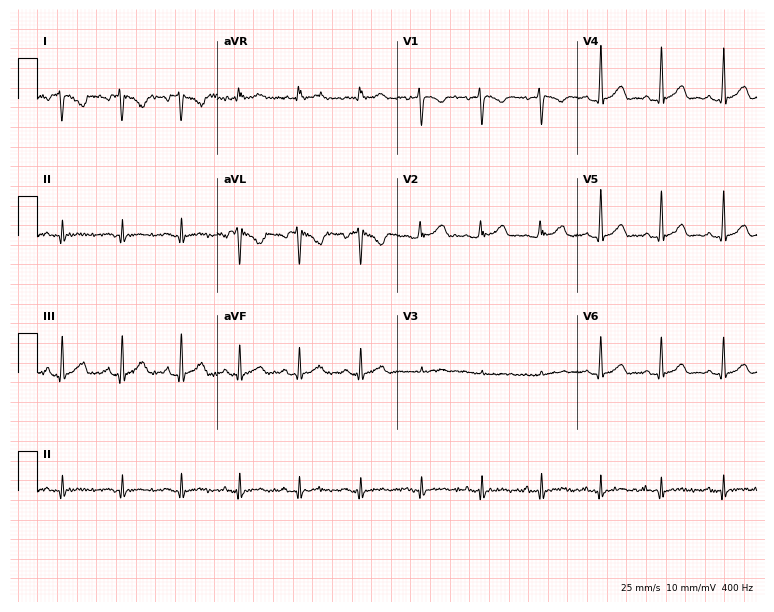
Standard 12-lead ECG recorded from a 19-year-old female (7.3-second recording at 400 Hz). None of these six findings is recorded: first-degree AV block, right bundle branch block, left bundle branch block, sinus bradycardia, atrial fibrillation, sinus tachycardia. Only these six findings were labelled.